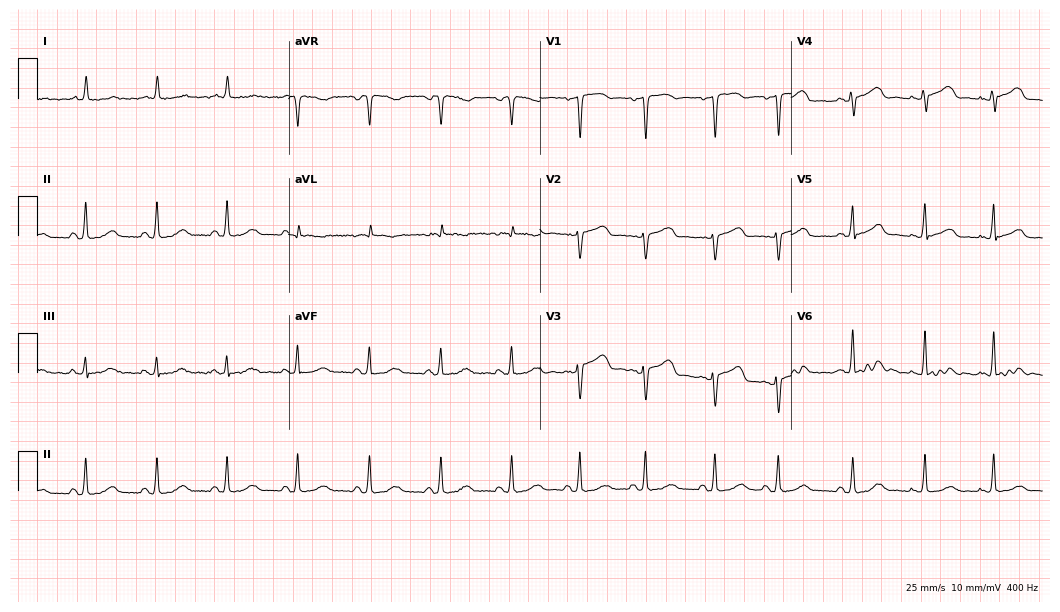
12-lead ECG (10.2-second recording at 400 Hz) from a female, 80 years old. Labelled as a normal ECG.